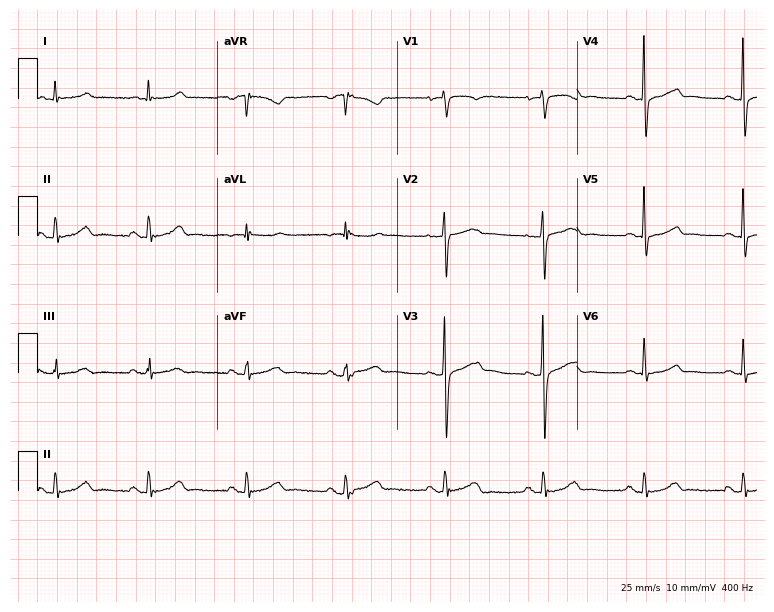
Electrocardiogram, a 69-year-old female. Of the six screened findings (first-degree AV block, right bundle branch block (RBBB), left bundle branch block (LBBB), sinus bradycardia, atrial fibrillation (AF), sinus tachycardia), none is recorded. Findings outside these six are not listed.